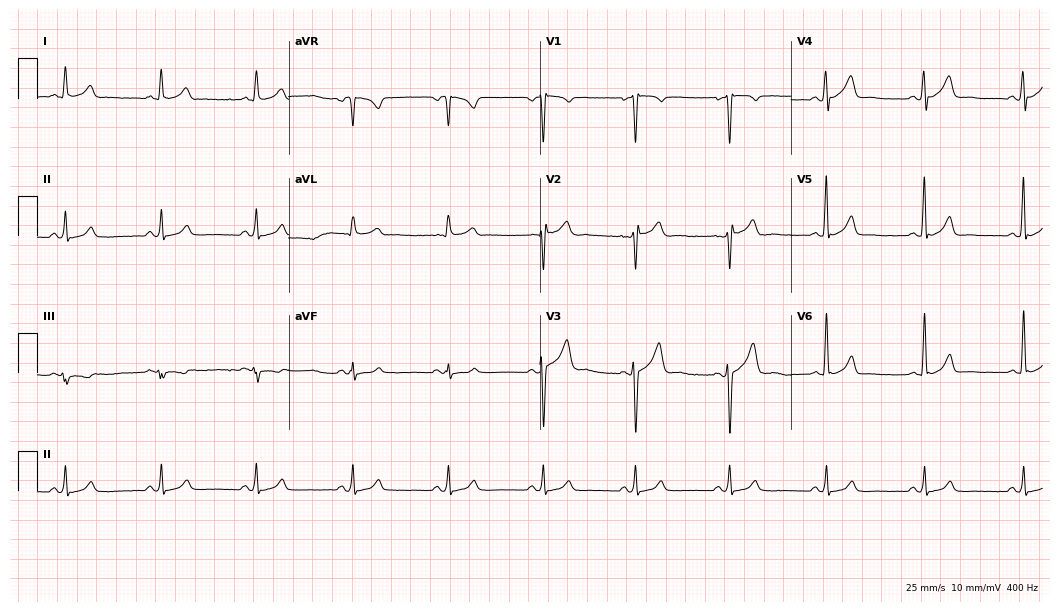
Electrocardiogram (10.2-second recording at 400 Hz), a 38-year-old male. Overall reading on record: normal ECG.